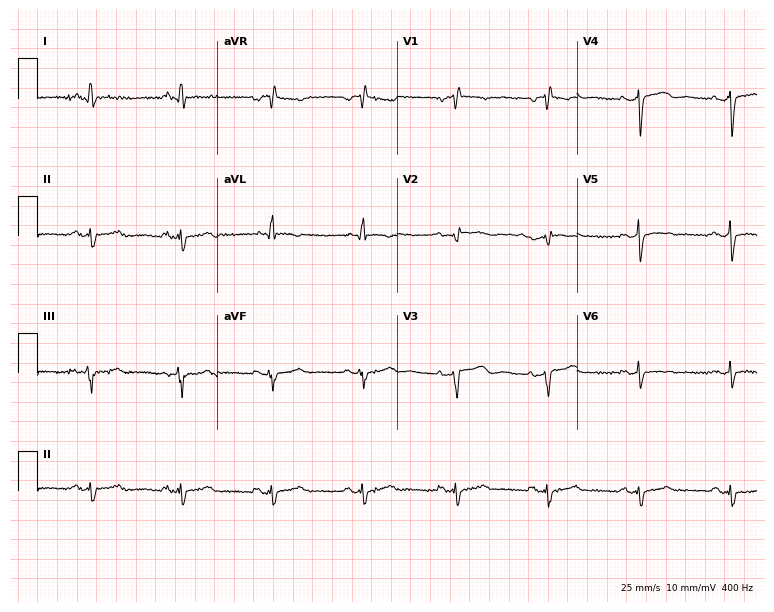
Electrocardiogram, a 59-year-old female patient. Of the six screened findings (first-degree AV block, right bundle branch block, left bundle branch block, sinus bradycardia, atrial fibrillation, sinus tachycardia), none is recorded. Findings outside these six are not listed.